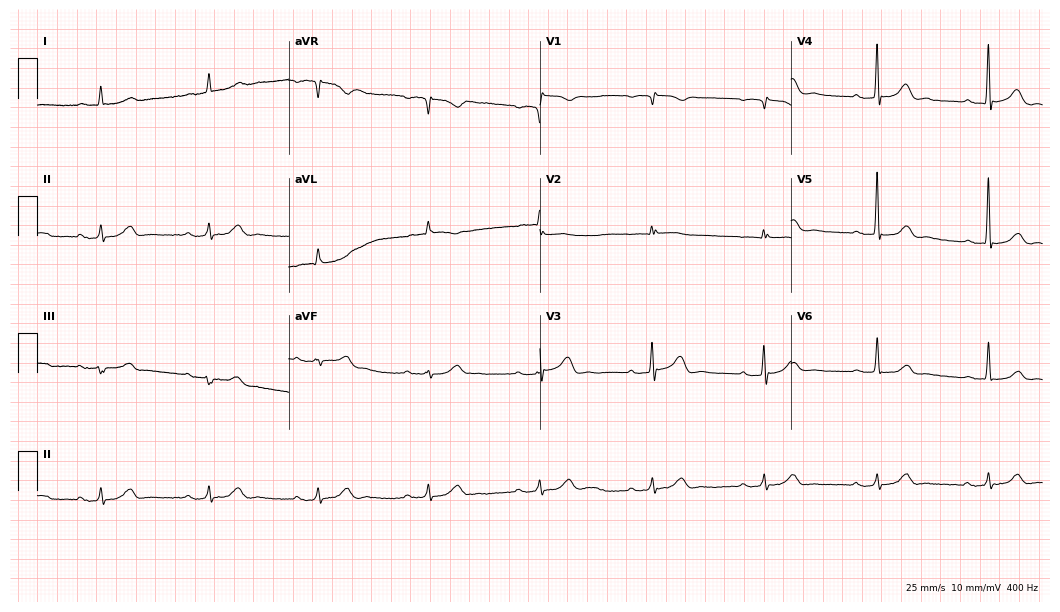
Resting 12-lead electrocardiogram (10.2-second recording at 400 Hz). Patient: an 83-year-old male. None of these six findings is recorded: first-degree AV block, right bundle branch block, left bundle branch block, sinus bradycardia, atrial fibrillation, sinus tachycardia. Other findings, if any, are not listed.